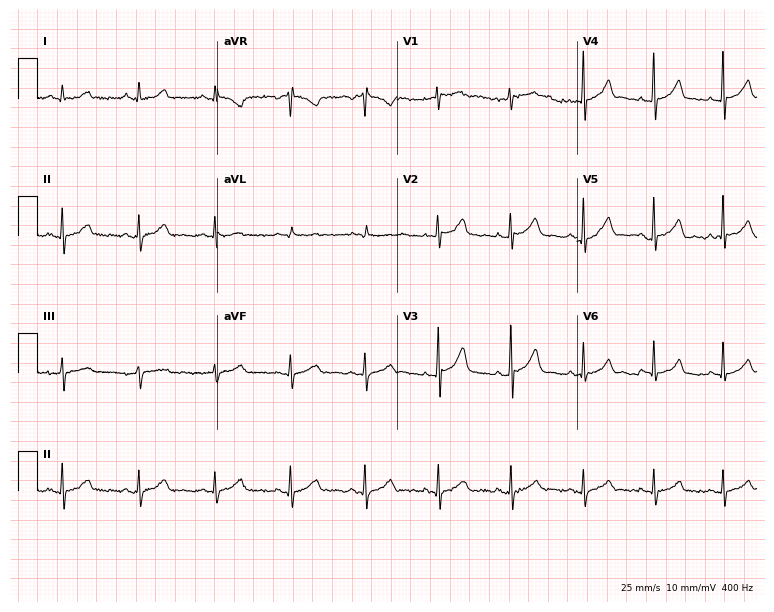
Resting 12-lead electrocardiogram. Patient: a 50-year-old male. Read as a normal ECG.